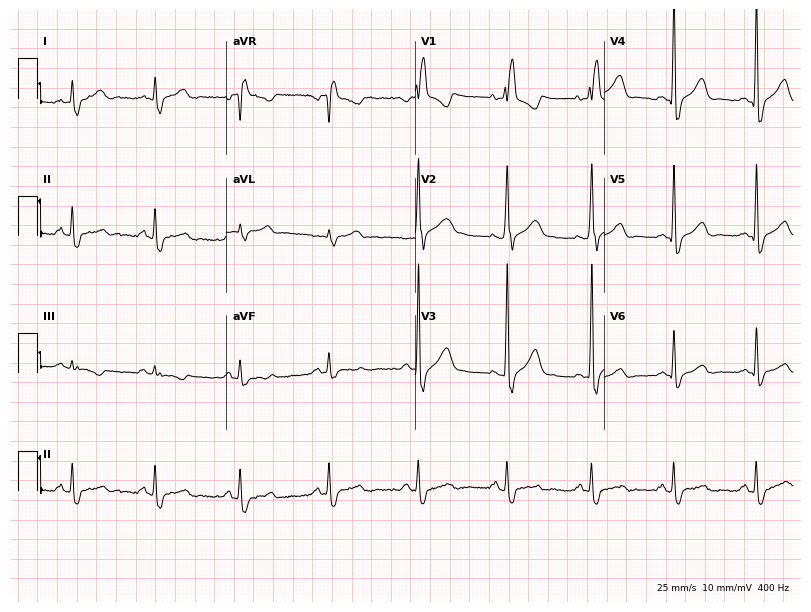
ECG (7.7-second recording at 400 Hz) — a 33-year-old male patient. Findings include right bundle branch block.